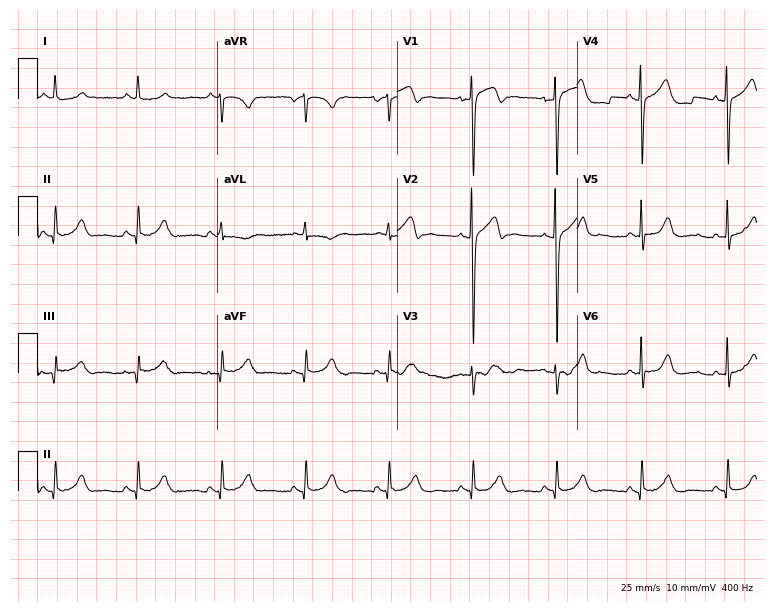
Standard 12-lead ECG recorded from a 58-year-old male (7.3-second recording at 400 Hz). None of these six findings is recorded: first-degree AV block, right bundle branch block, left bundle branch block, sinus bradycardia, atrial fibrillation, sinus tachycardia. Findings outside these six are not listed.